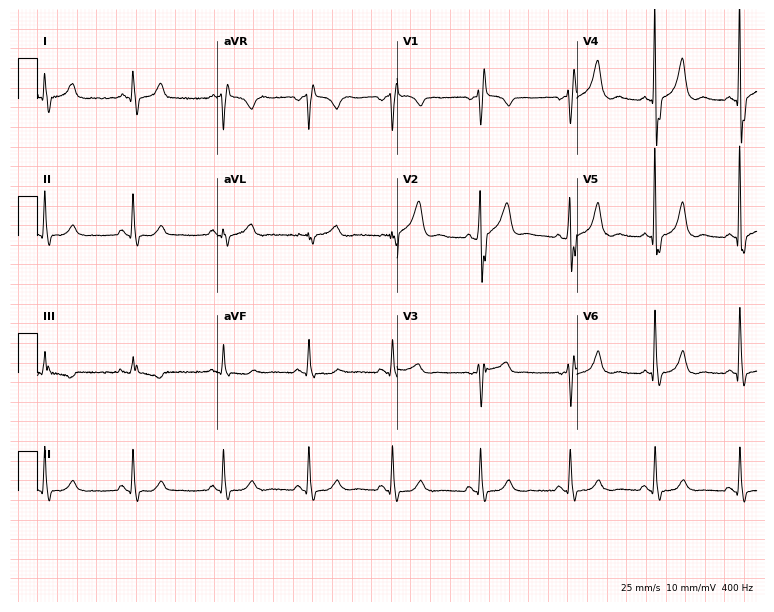
Resting 12-lead electrocardiogram. Patient: a 58-year-old male. None of these six findings is recorded: first-degree AV block, right bundle branch block, left bundle branch block, sinus bradycardia, atrial fibrillation, sinus tachycardia.